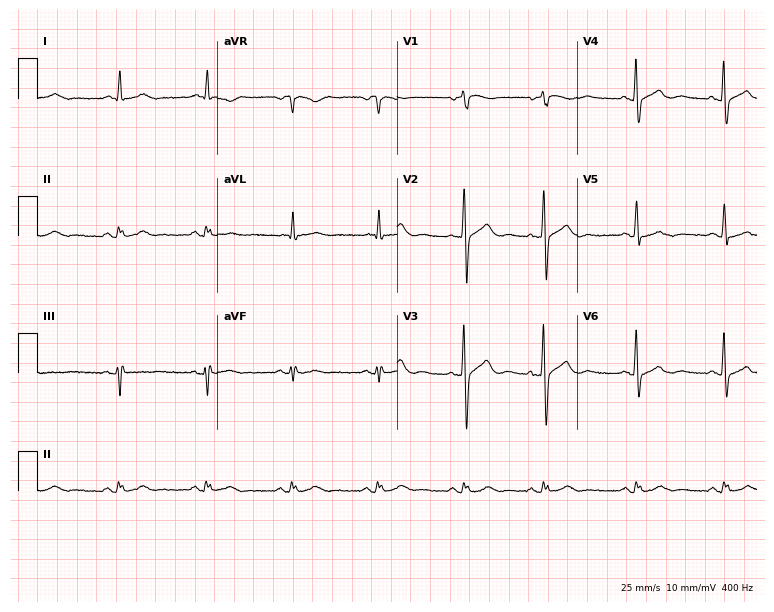
ECG — a 77-year-old male patient. Screened for six findings — first-degree AV block, right bundle branch block (RBBB), left bundle branch block (LBBB), sinus bradycardia, atrial fibrillation (AF), sinus tachycardia — none is recorded. Only these six findings were labelled.